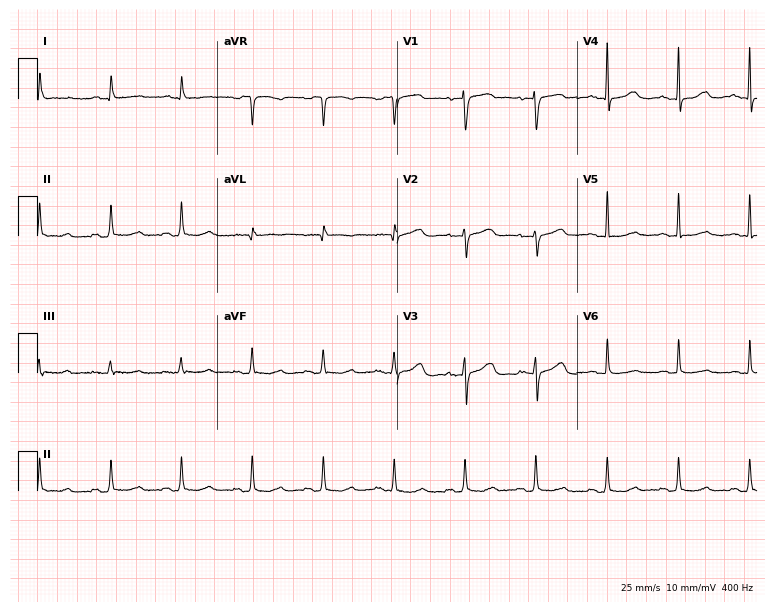
Electrocardiogram, a 65-year-old woman. Overall reading on record: normal ECG.